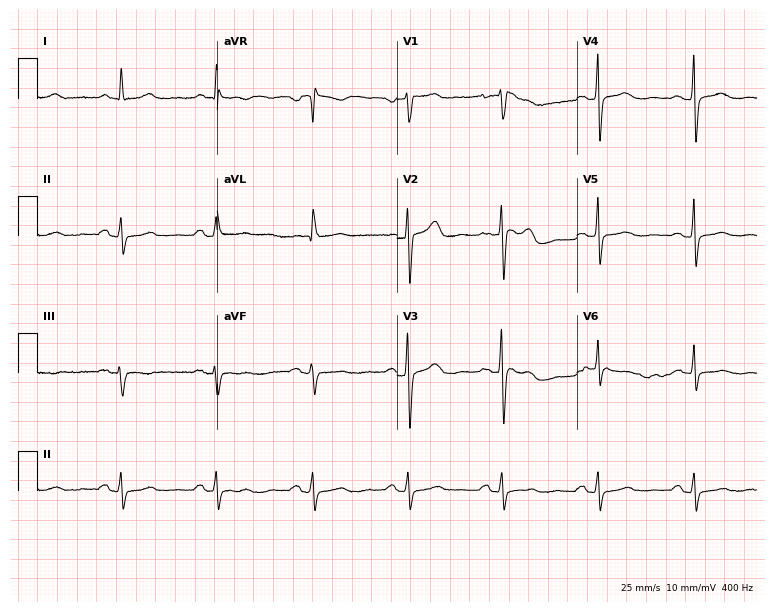
Resting 12-lead electrocardiogram (7.3-second recording at 400 Hz). Patient: a 55-year-old female. Read as a normal ECG.